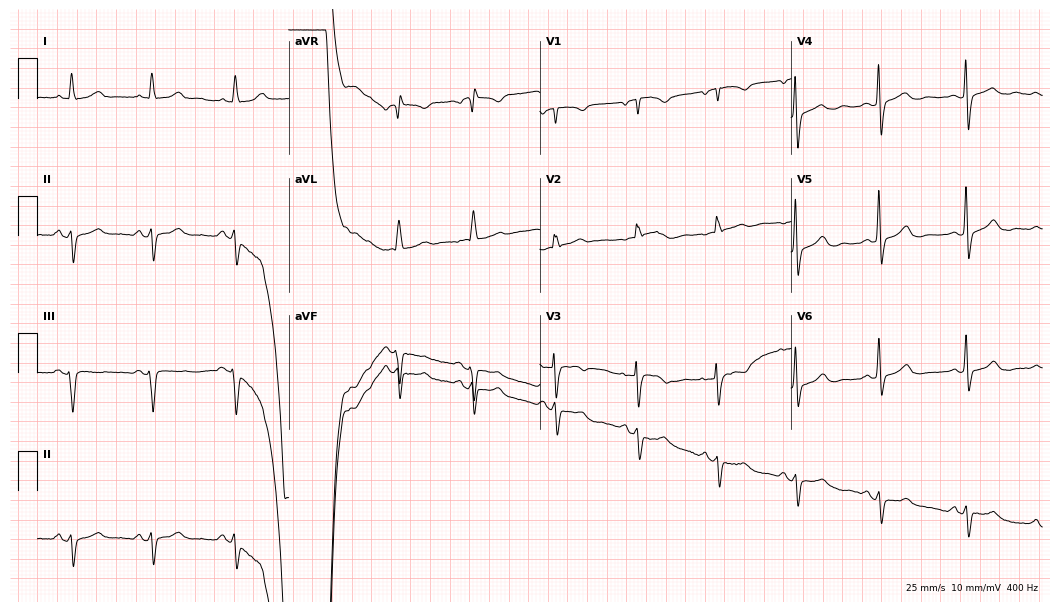
Resting 12-lead electrocardiogram (10.2-second recording at 400 Hz). Patient: a 65-year-old female. None of these six findings is recorded: first-degree AV block, right bundle branch block, left bundle branch block, sinus bradycardia, atrial fibrillation, sinus tachycardia.